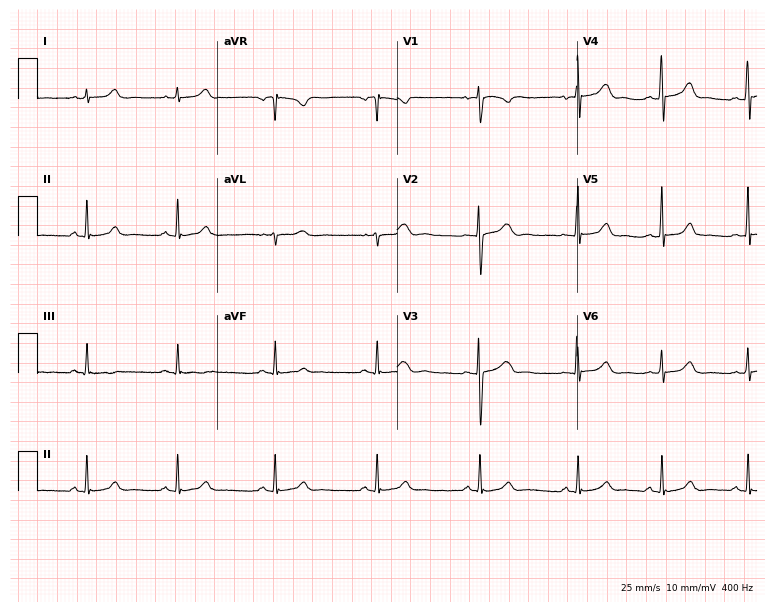
Electrocardiogram (7.3-second recording at 400 Hz), a woman, 25 years old. Overall reading on record: normal ECG.